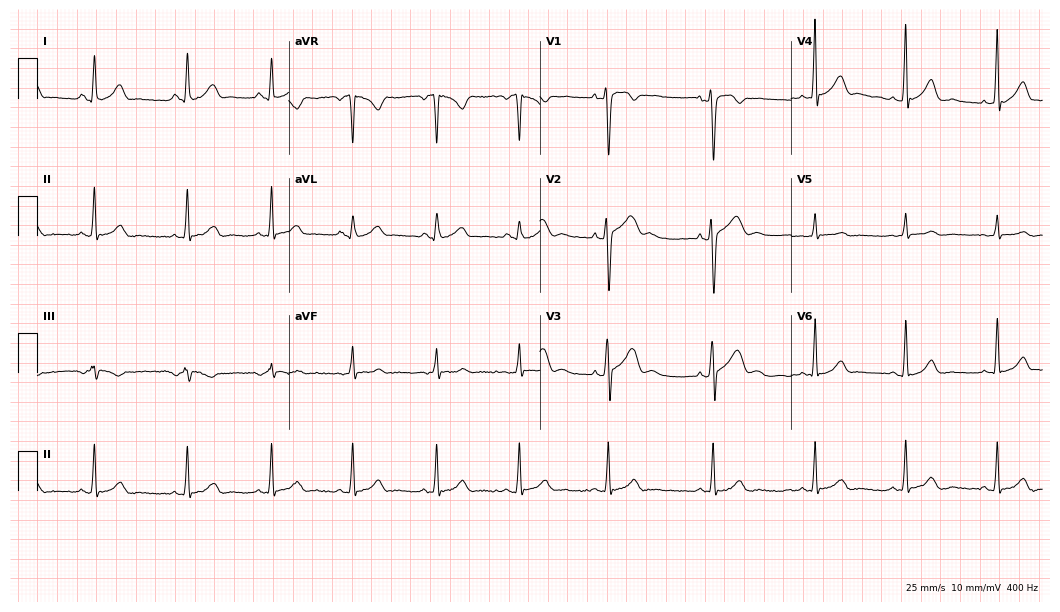
Resting 12-lead electrocardiogram (10.2-second recording at 400 Hz). Patient: a 32-year-old female. Read as a normal ECG.